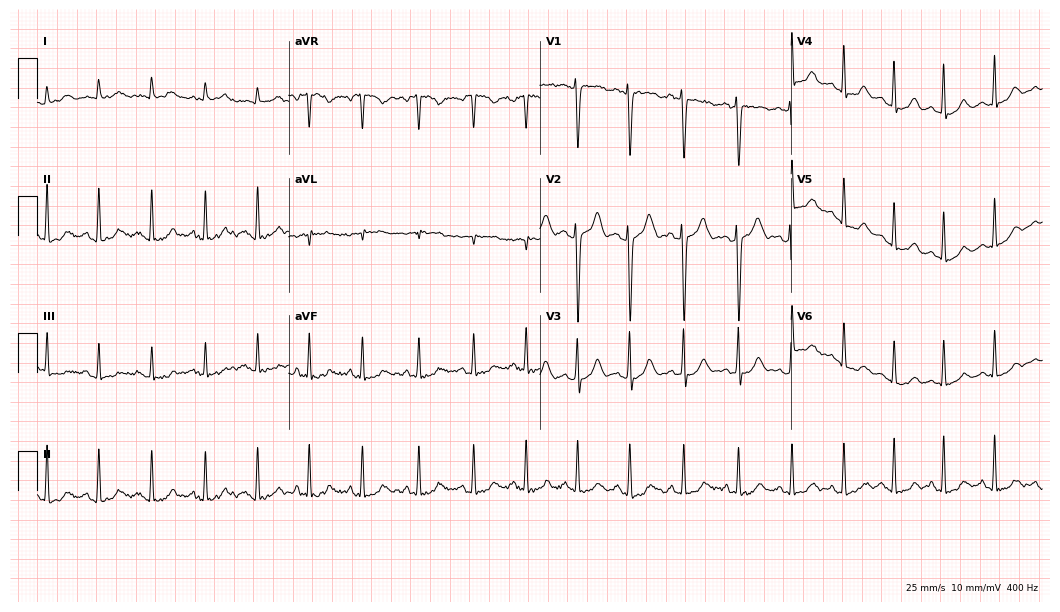
ECG (10.2-second recording at 400 Hz) — a 21-year-old female. Findings include sinus tachycardia (a sinus rate of 100 beats per minute or more).